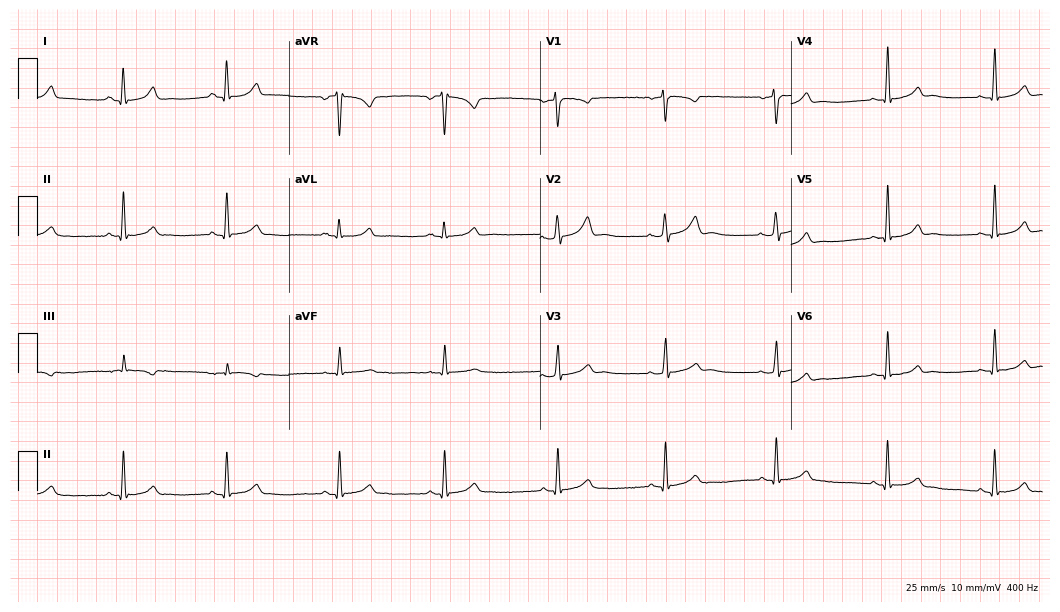
Resting 12-lead electrocardiogram (10.2-second recording at 400 Hz). Patient: a woman, 32 years old. Read as a normal ECG.